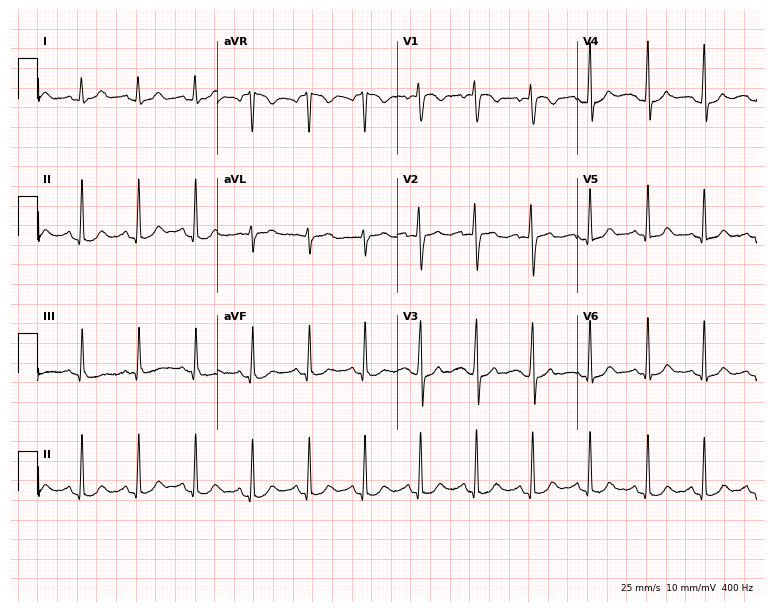
Electrocardiogram (7.3-second recording at 400 Hz), a female patient, 22 years old. Interpretation includes sinus tachycardia (a sinus rate of 100 beats per minute or more).